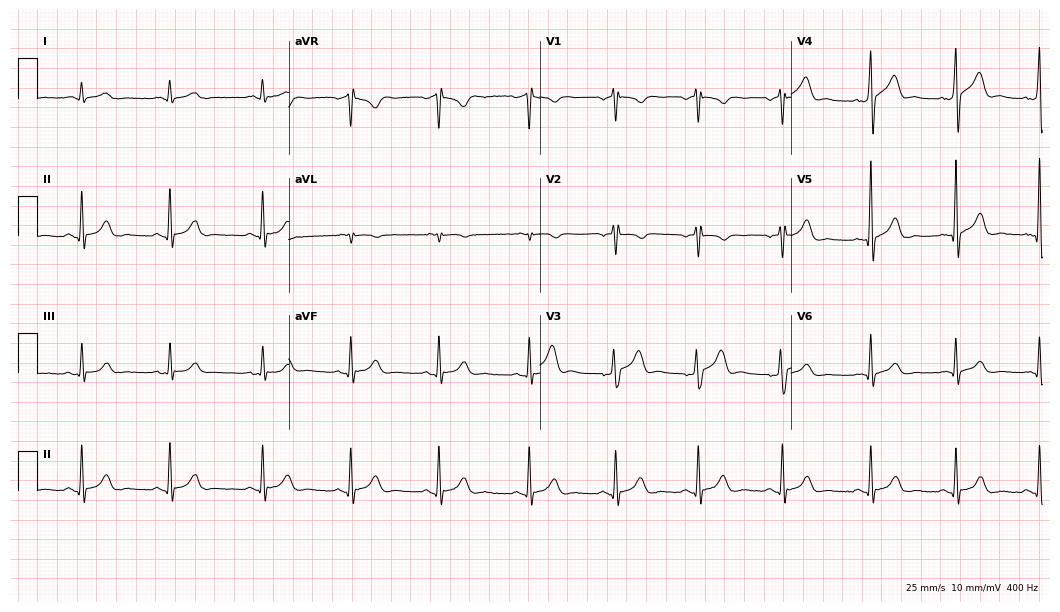
Standard 12-lead ECG recorded from a 42-year-old man (10.2-second recording at 400 Hz). None of these six findings is recorded: first-degree AV block, right bundle branch block (RBBB), left bundle branch block (LBBB), sinus bradycardia, atrial fibrillation (AF), sinus tachycardia. Other findings, if any, are not listed.